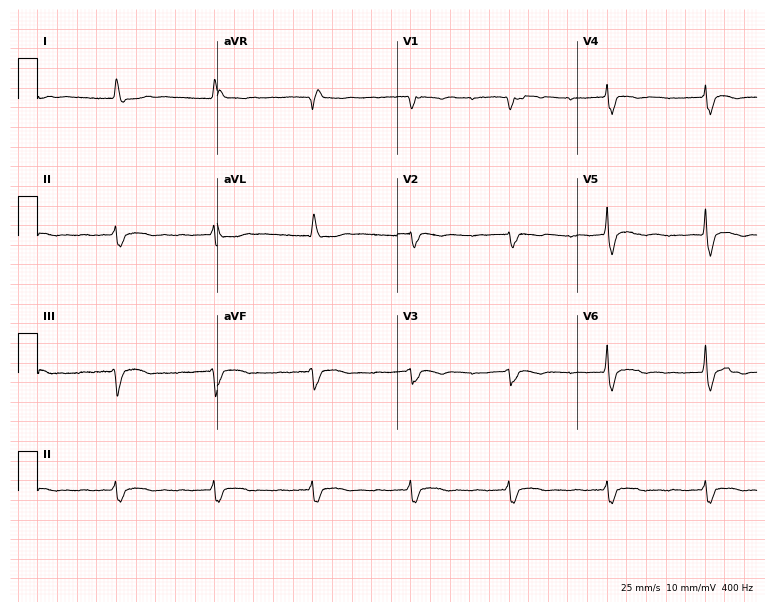
12-lead ECG from an 83-year-old male patient (7.3-second recording at 400 Hz). Shows right bundle branch block.